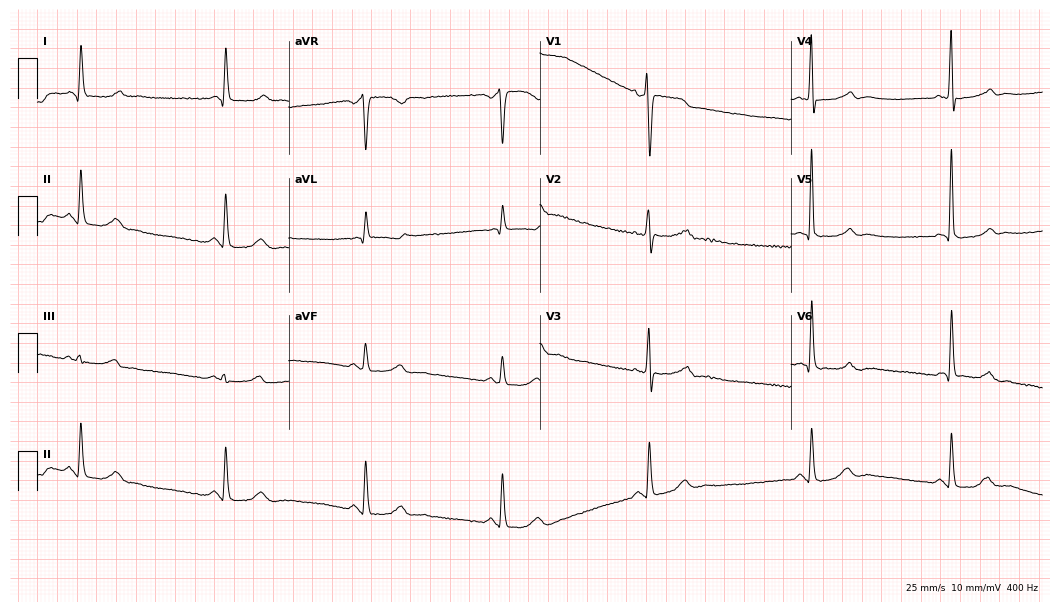
12-lead ECG from a female, 68 years old (10.2-second recording at 400 Hz). Shows sinus bradycardia (a sinus rate of 50 beats per minute or less).